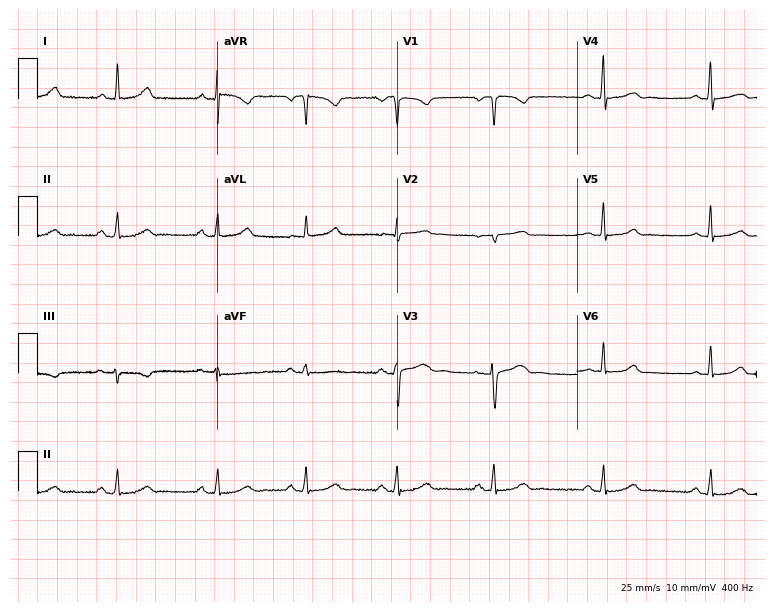
Standard 12-lead ECG recorded from a 36-year-old female patient. Read as a normal ECG.